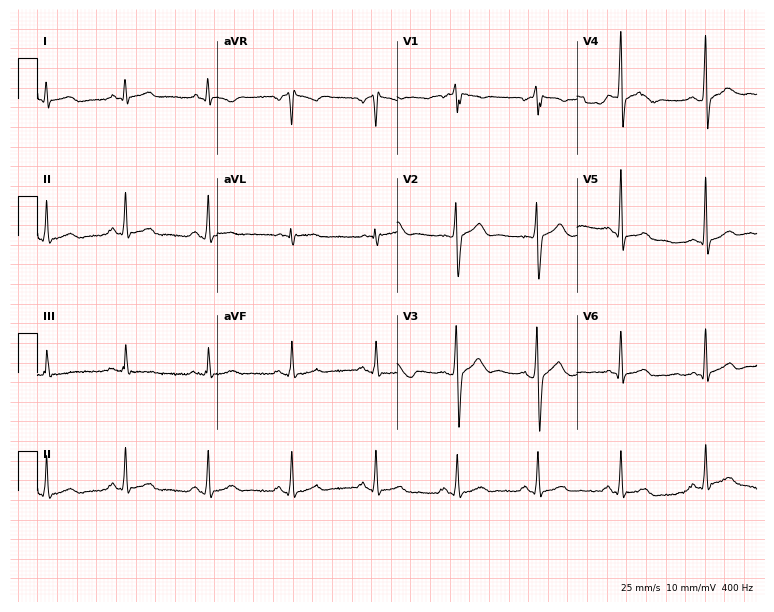
ECG (7.3-second recording at 400 Hz) — a male patient, 27 years old. Labelled as a normal ECG.